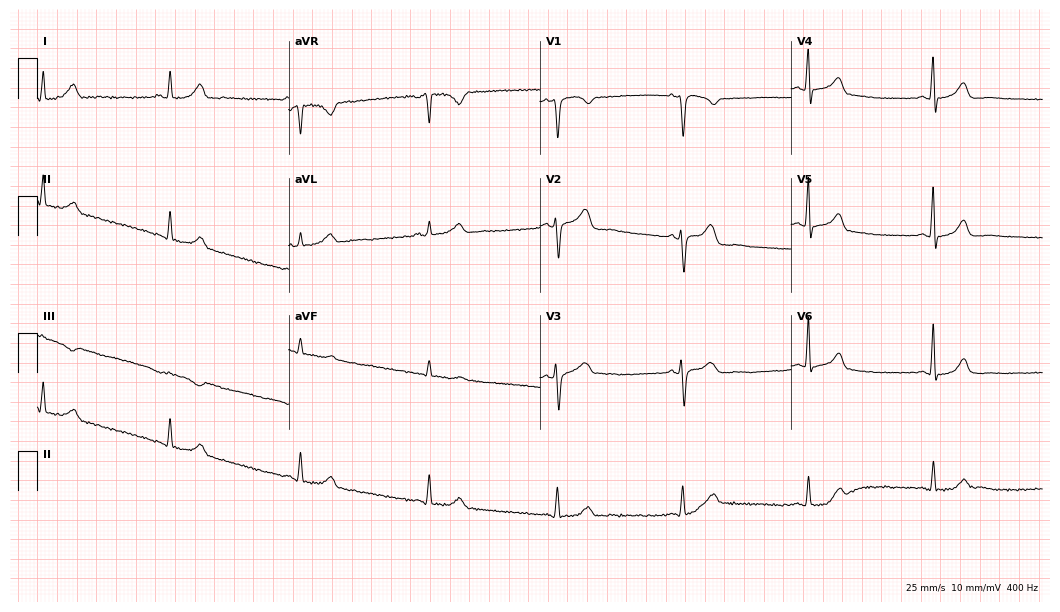
Resting 12-lead electrocardiogram (10.2-second recording at 400 Hz). Patient: a 54-year-old female. The tracing shows sinus bradycardia (a sinus rate of 50 beats per minute or less).